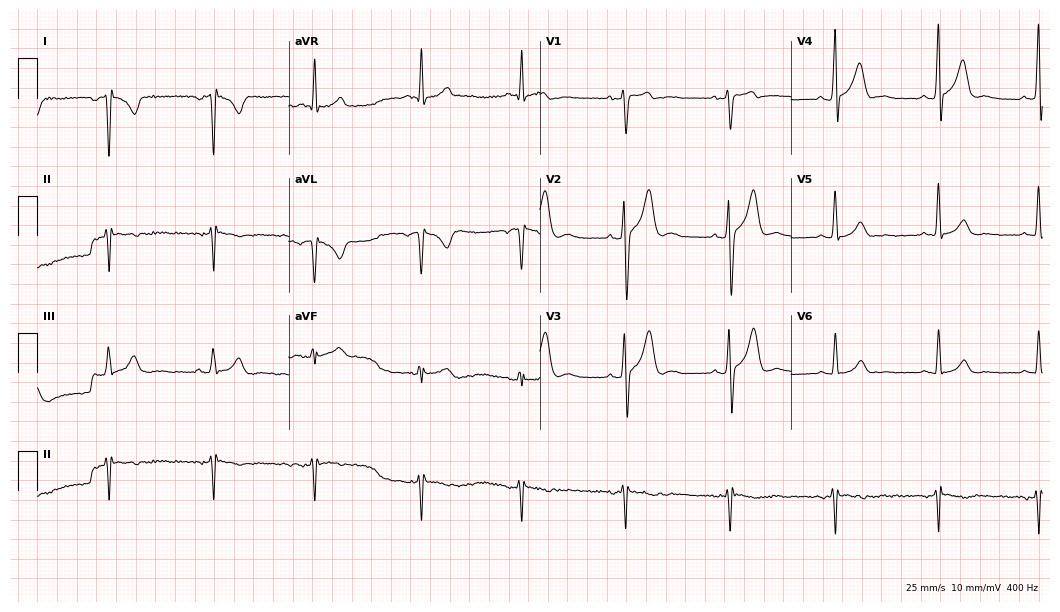
Standard 12-lead ECG recorded from a 43-year-old man. None of these six findings is recorded: first-degree AV block, right bundle branch block (RBBB), left bundle branch block (LBBB), sinus bradycardia, atrial fibrillation (AF), sinus tachycardia.